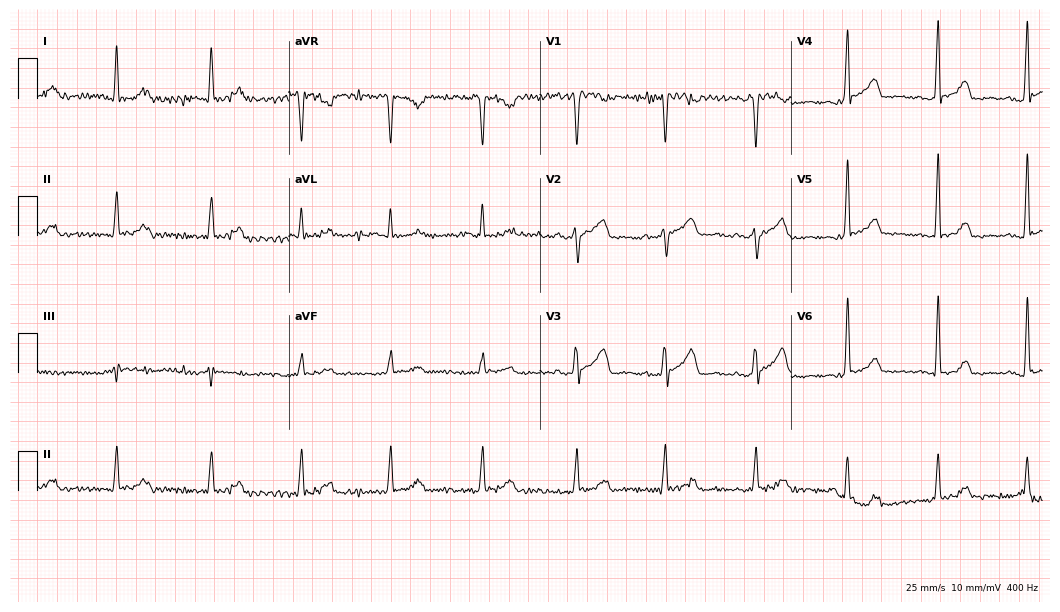
ECG — a male patient, 59 years old. Screened for six findings — first-degree AV block, right bundle branch block, left bundle branch block, sinus bradycardia, atrial fibrillation, sinus tachycardia — none is recorded.